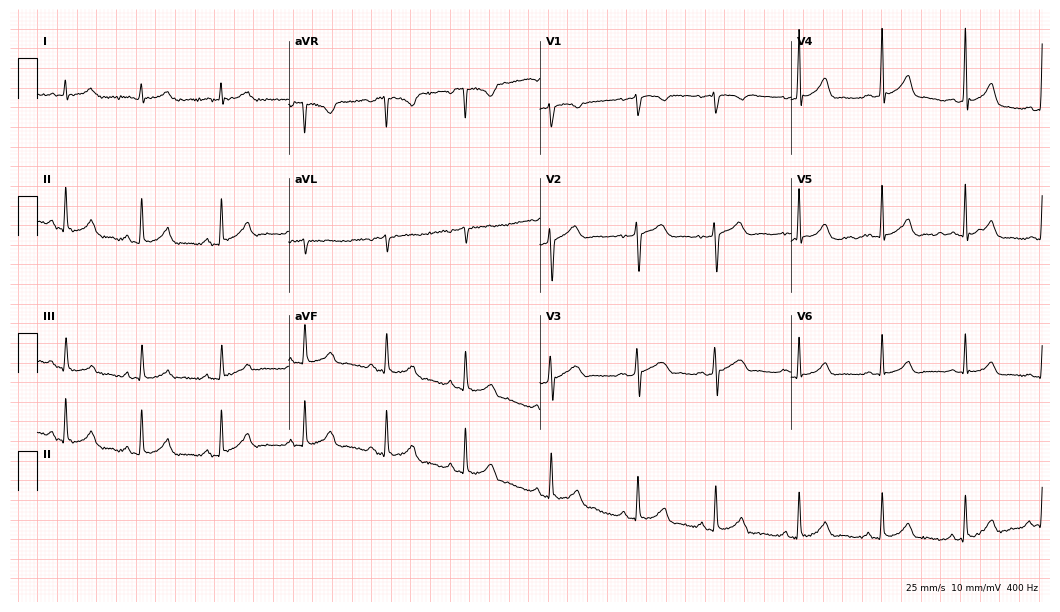
Electrocardiogram, a 33-year-old female patient. Overall reading on record: normal ECG.